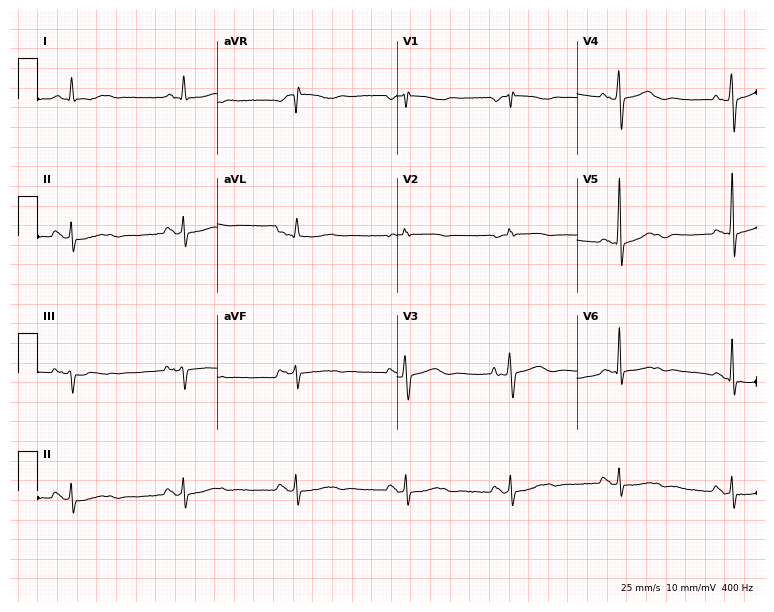
12-lead ECG from a woman, 71 years old. Screened for six findings — first-degree AV block, right bundle branch block (RBBB), left bundle branch block (LBBB), sinus bradycardia, atrial fibrillation (AF), sinus tachycardia — none is recorded. Only these six findings were labelled.